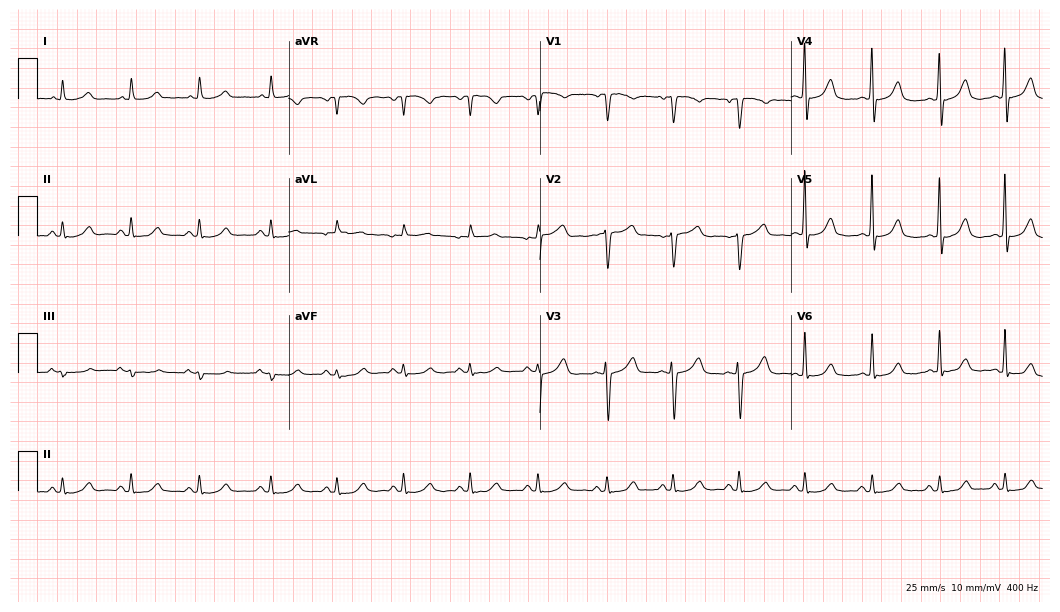
Standard 12-lead ECG recorded from a female patient, 50 years old (10.2-second recording at 400 Hz). Read as a normal ECG.